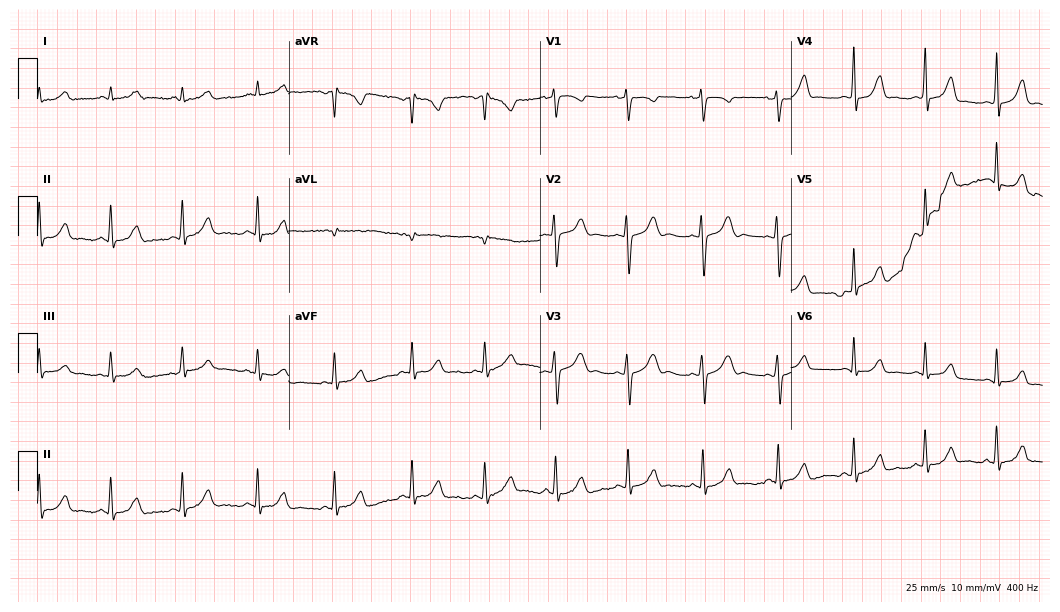
12-lead ECG from a 26-year-old female patient (10.2-second recording at 400 Hz). Recorded interpretation: within normal limits.